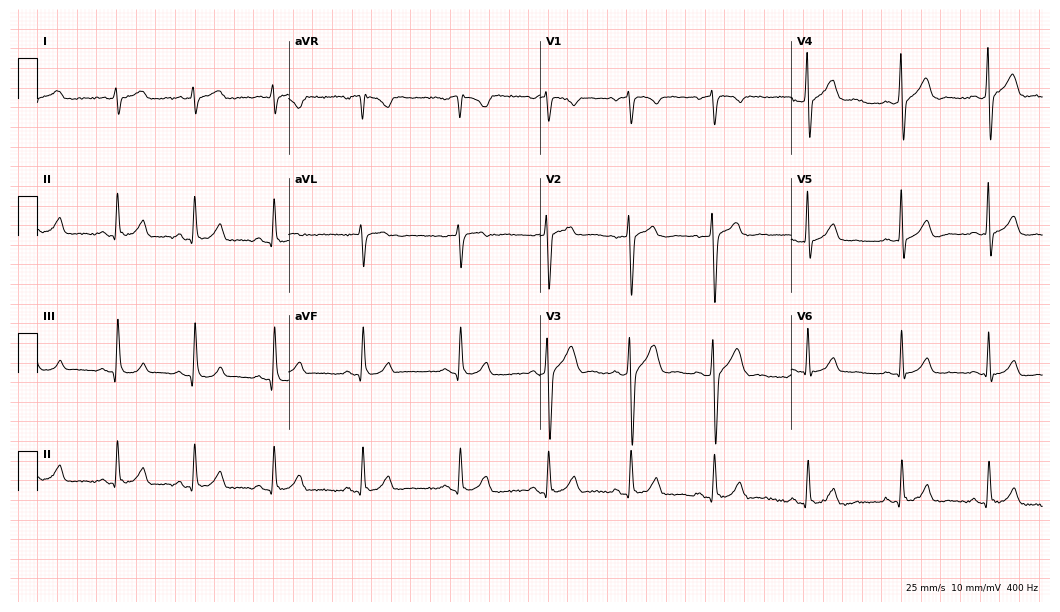
Resting 12-lead electrocardiogram. Patient: a male, 23 years old. None of these six findings is recorded: first-degree AV block, right bundle branch block, left bundle branch block, sinus bradycardia, atrial fibrillation, sinus tachycardia. Only these six findings were labelled.